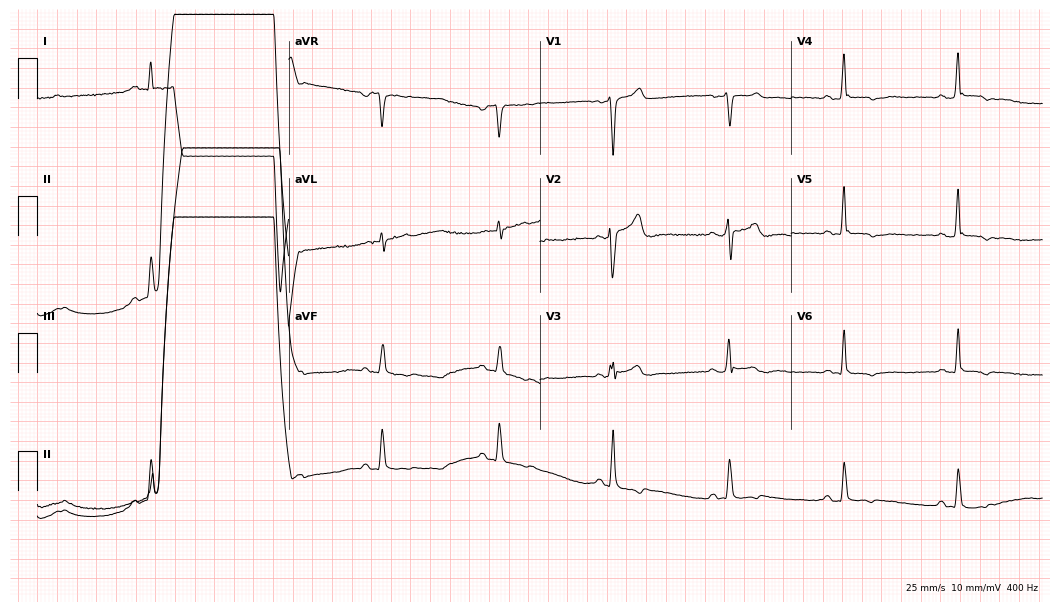
Standard 12-lead ECG recorded from a 56-year-old male patient. None of these six findings is recorded: first-degree AV block, right bundle branch block (RBBB), left bundle branch block (LBBB), sinus bradycardia, atrial fibrillation (AF), sinus tachycardia. Only these six findings were labelled.